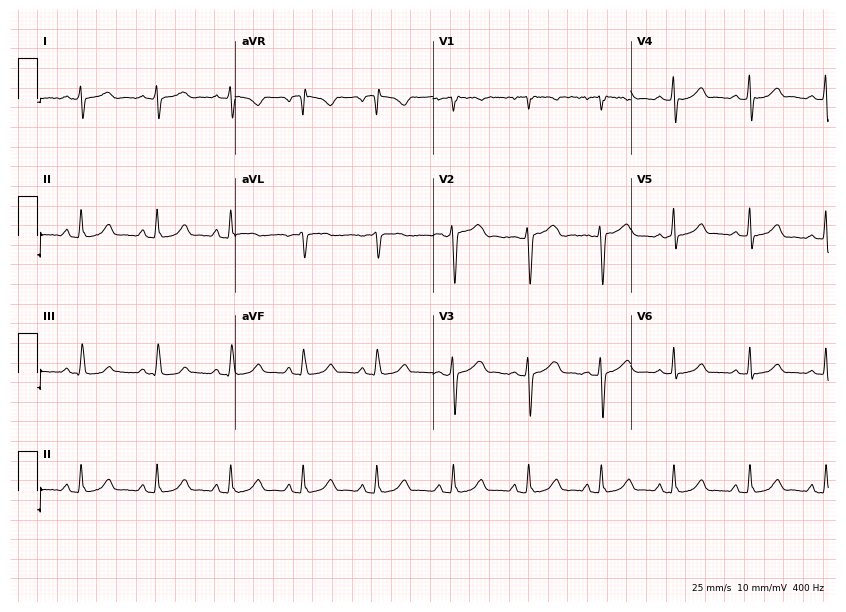
Electrocardiogram, a 21-year-old woman. Of the six screened findings (first-degree AV block, right bundle branch block, left bundle branch block, sinus bradycardia, atrial fibrillation, sinus tachycardia), none is recorded.